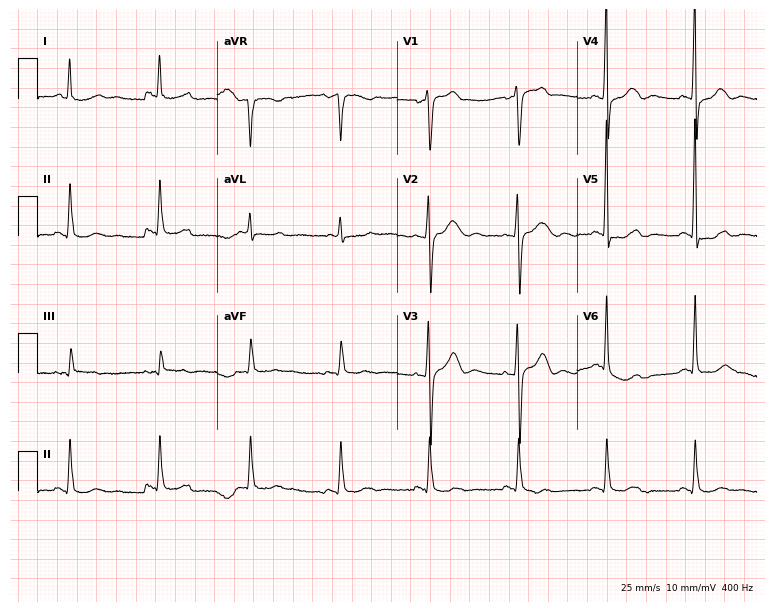
Resting 12-lead electrocardiogram (7.3-second recording at 400 Hz). Patient: a 66-year-old male. None of these six findings is recorded: first-degree AV block, right bundle branch block, left bundle branch block, sinus bradycardia, atrial fibrillation, sinus tachycardia.